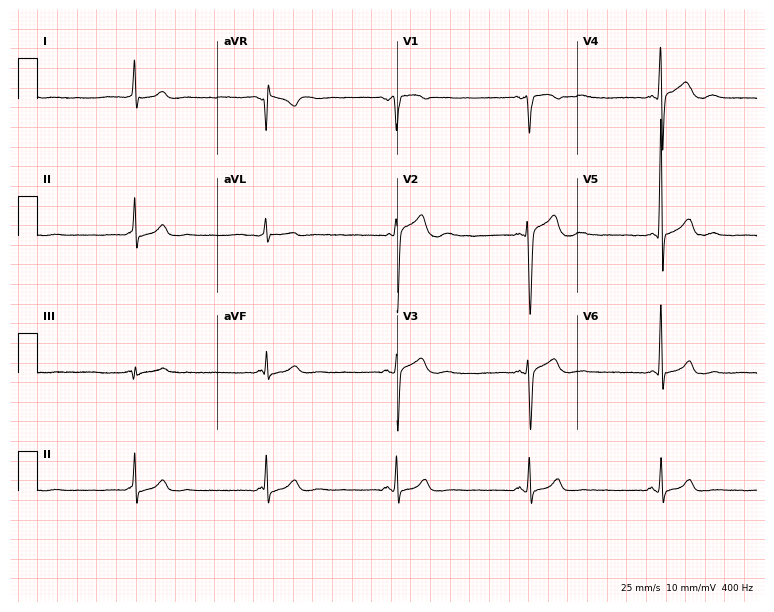
Standard 12-lead ECG recorded from a 35-year-old male. The tracing shows sinus bradycardia (a sinus rate of 50 beats per minute or less).